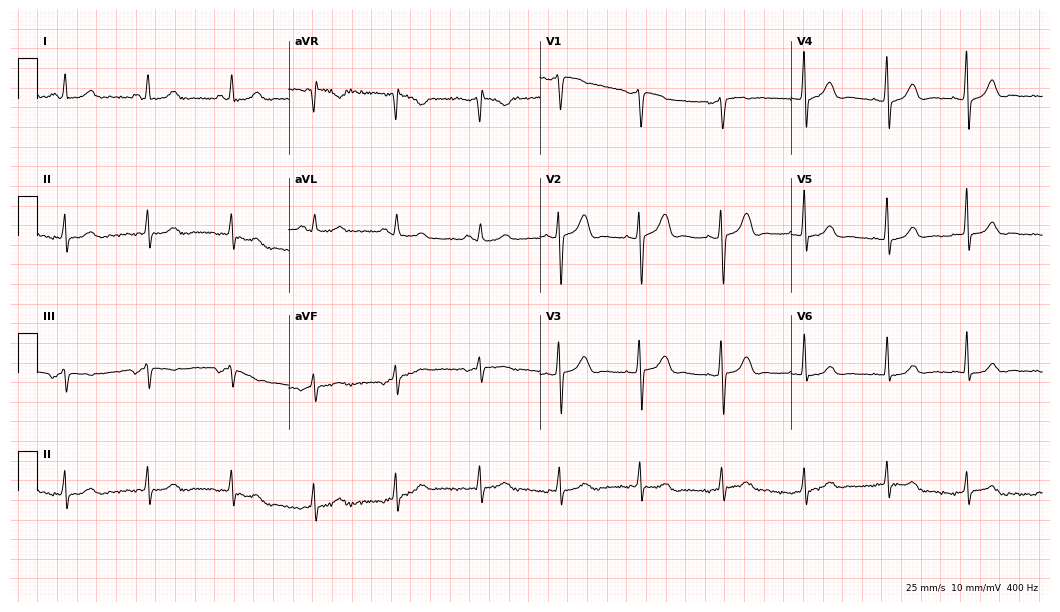
Resting 12-lead electrocardiogram. Patient: a 30-year-old female. Read as a normal ECG.